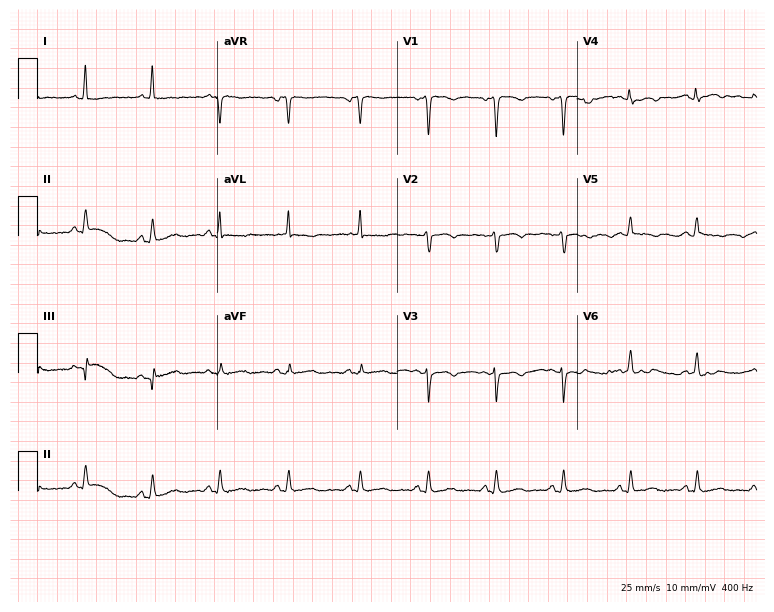
Standard 12-lead ECG recorded from a 66-year-old female patient (7.3-second recording at 400 Hz). None of these six findings is recorded: first-degree AV block, right bundle branch block (RBBB), left bundle branch block (LBBB), sinus bradycardia, atrial fibrillation (AF), sinus tachycardia. Other findings, if any, are not listed.